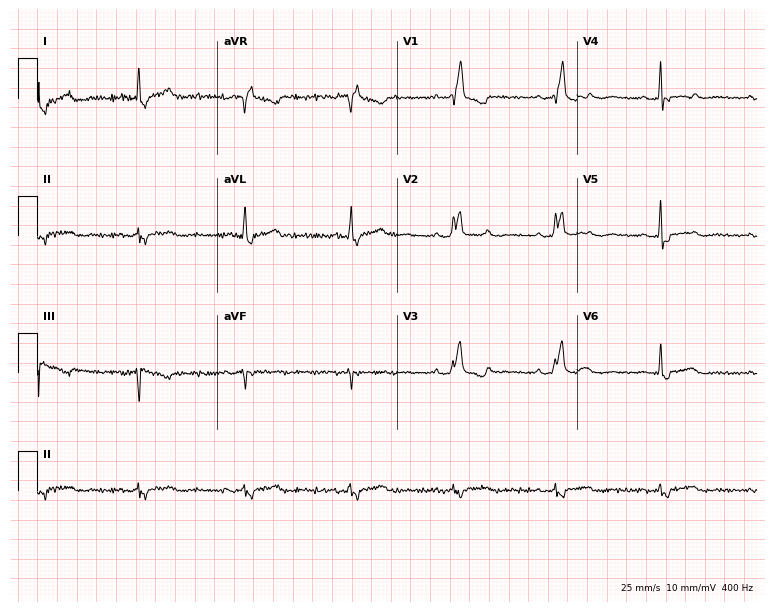
Resting 12-lead electrocardiogram (7.3-second recording at 400 Hz). Patient: a woman, 62 years old. The tracing shows right bundle branch block.